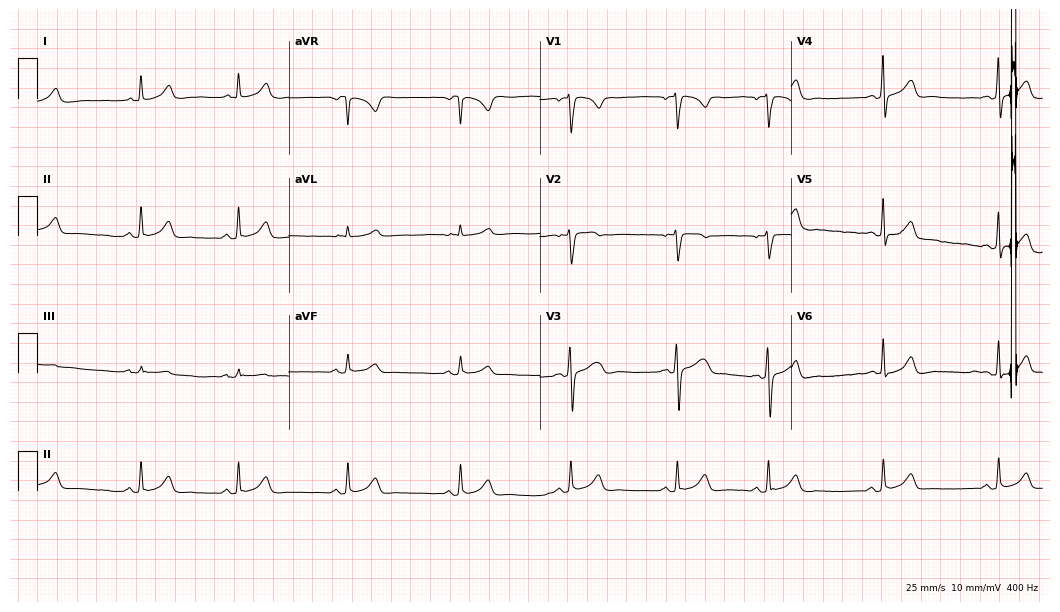
12-lead ECG from a female, 18 years old (10.2-second recording at 400 Hz). Recorded interpretation: within normal limits.